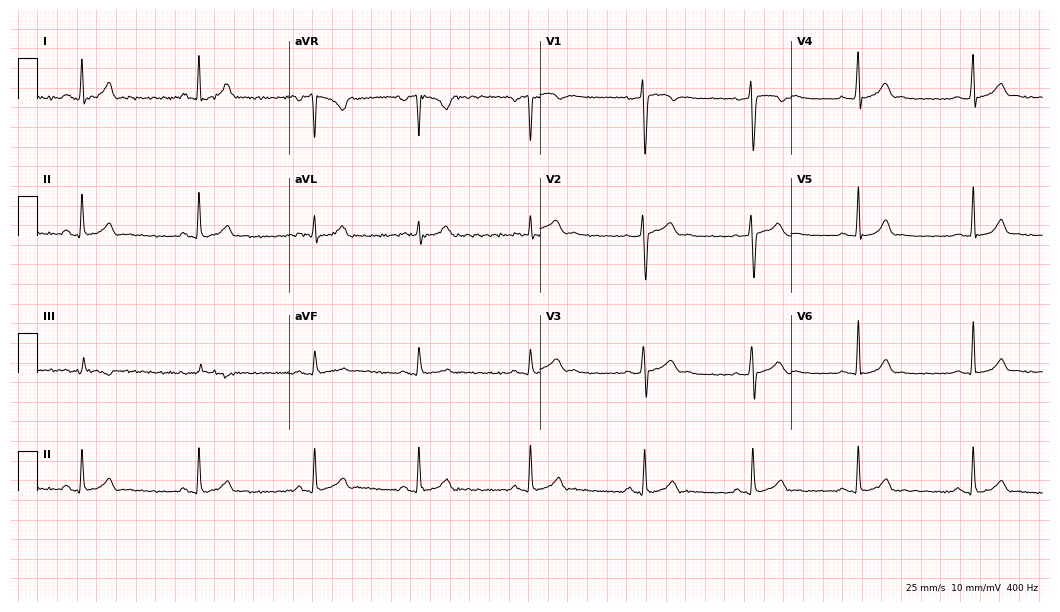
12-lead ECG from a male patient, 30 years old. No first-degree AV block, right bundle branch block (RBBB), left bundle branch block (LBBB), sinus bradycardia, atrial fibrillation (AF) or sinus tachycardia recorded for this tracing. Other findings, if any, are not listed.